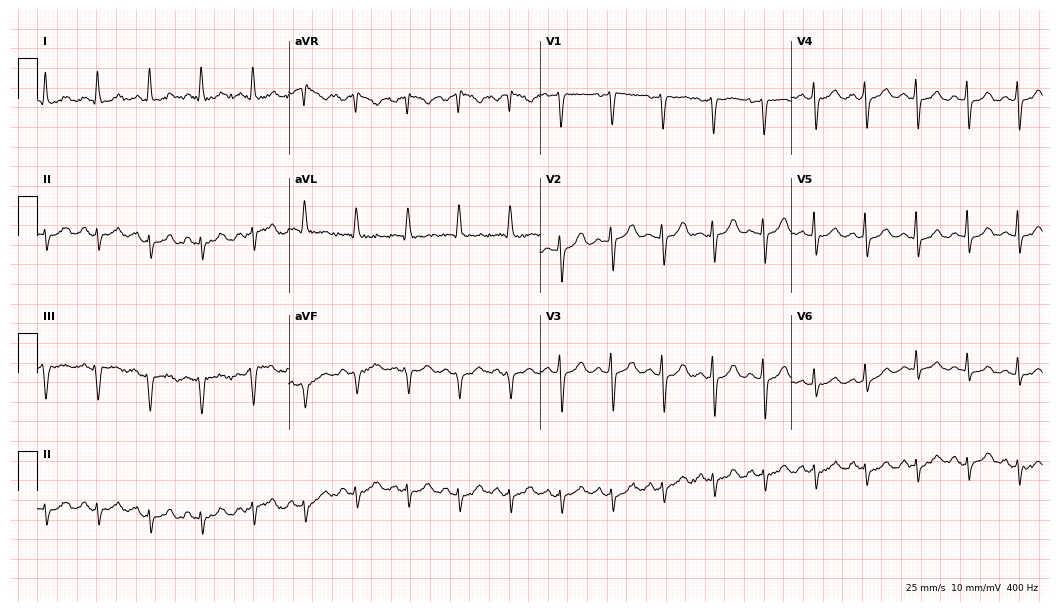
ECG (10.2-second recording at 400 Hz) — a female patient, 52 years old. Screened for six findings — first-degree AV block, right bundle branch block, left bundle branch block, sinus bradycardia, atrial fibrillation, sinus tachycardia — none is recorded.